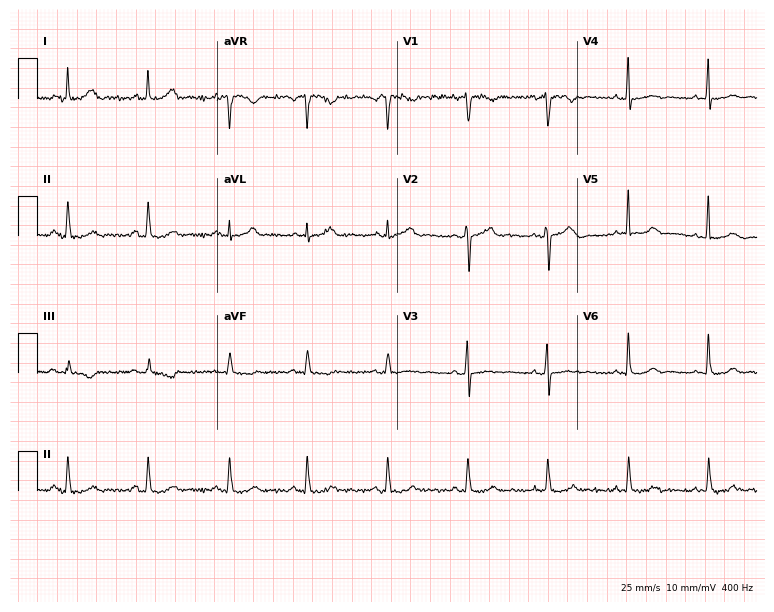
12-lead ECG from a female patient, 44 years old. No first-degree AV block, right bundle branch block, left bundle branch block, sinus bradycardia, atrial fibrillation or sinus tachycardia recorded for this tracing. Other findings, if any, are not listed.